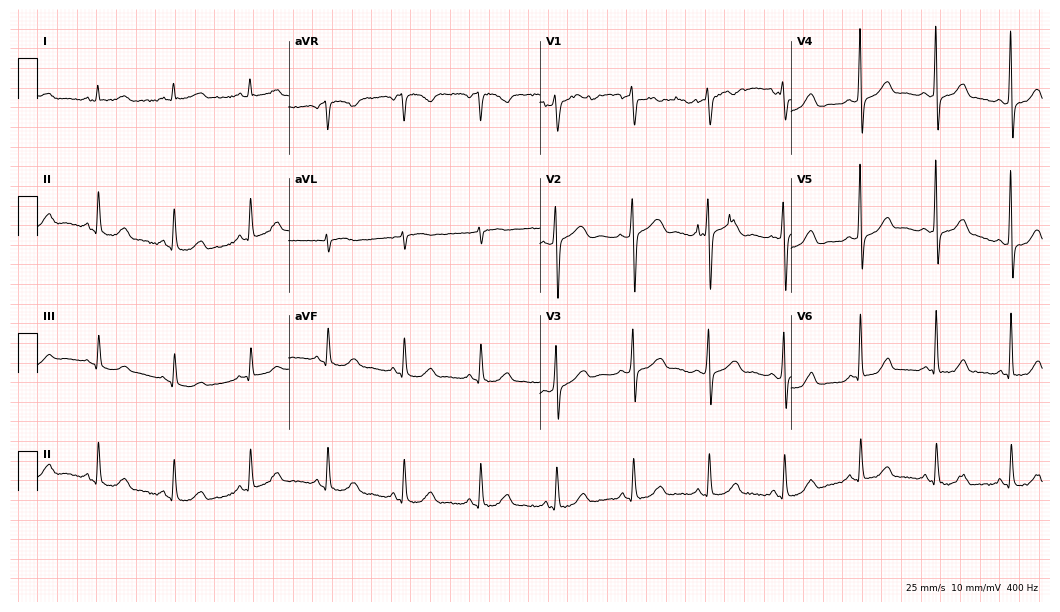
Standard 12-lead ECG recorded from a 65-year-old female (10.2-second recording at 400 Hz). Read as a normal ECG.